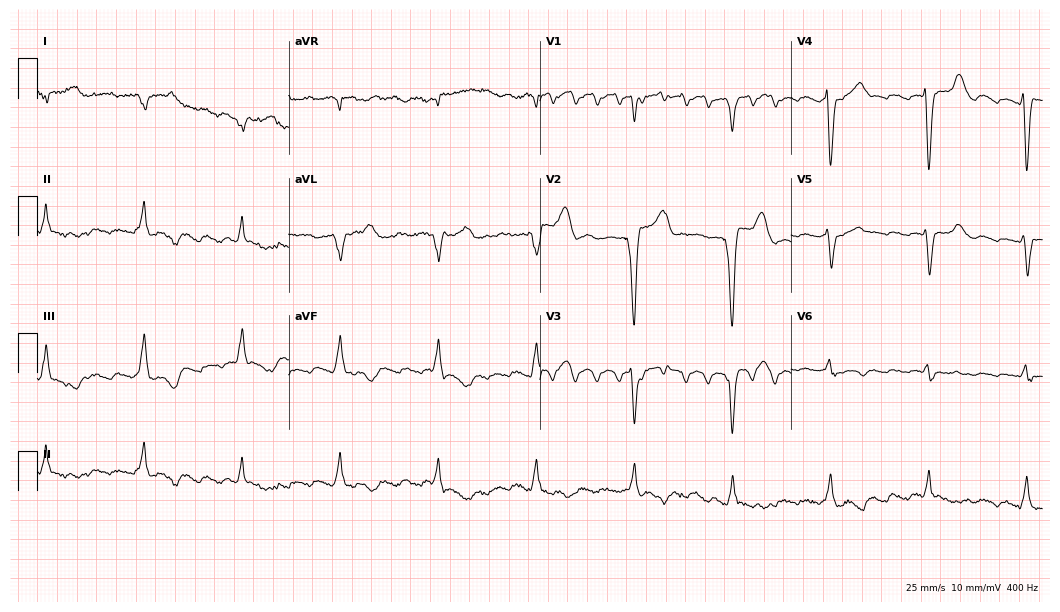
Standard 12-lead ECG recorded from a female, 79 years old. None of these six findings is recorded: first-degree AV block, right bundle branch block, left bundle branch block, sinus bradycardia, atrial fibrillation, sinus tachycardia. Only these six findings were labelled.